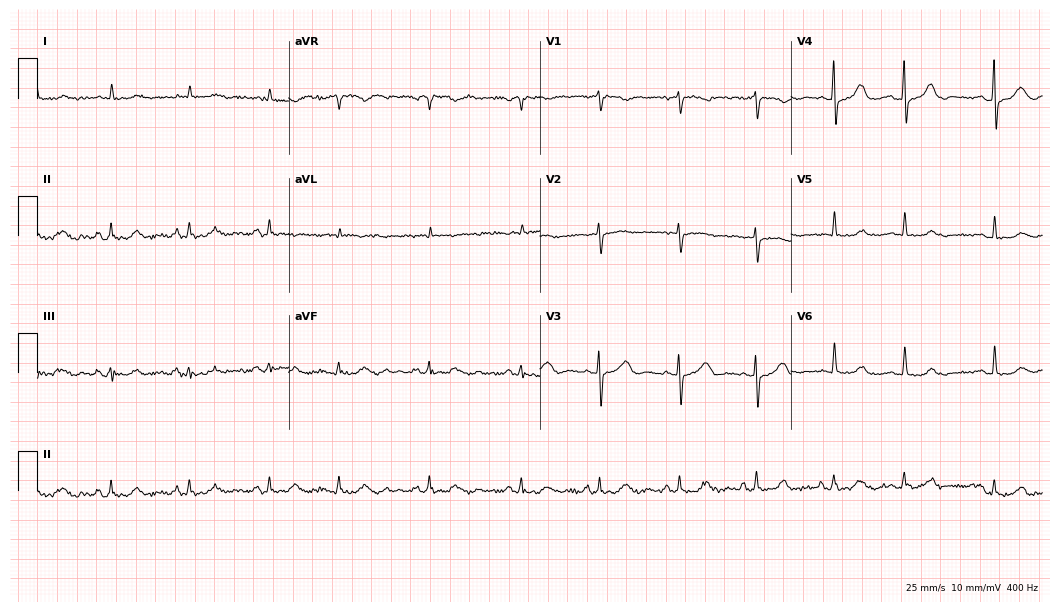
Electrocardiogram, a female, 82 years old. Of the six screened findings (first-degree AV block, right bundle branch block, left bundle branch block, sinus bradycardia, atrial fibrillation, sinus tachycardia), none is recorded.